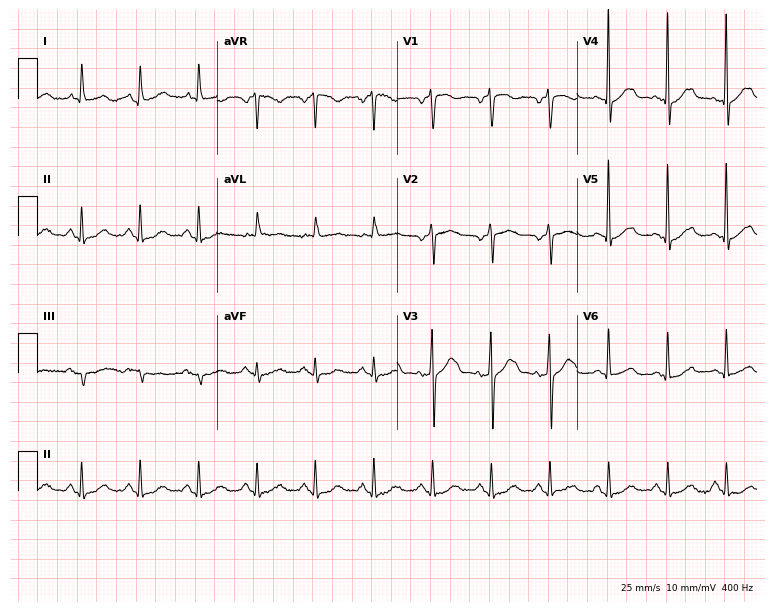
Electrocardiogram (7.3-second recording at 400 Hz), an 81-year-old female patient. Overall reading on record: normal ECG.